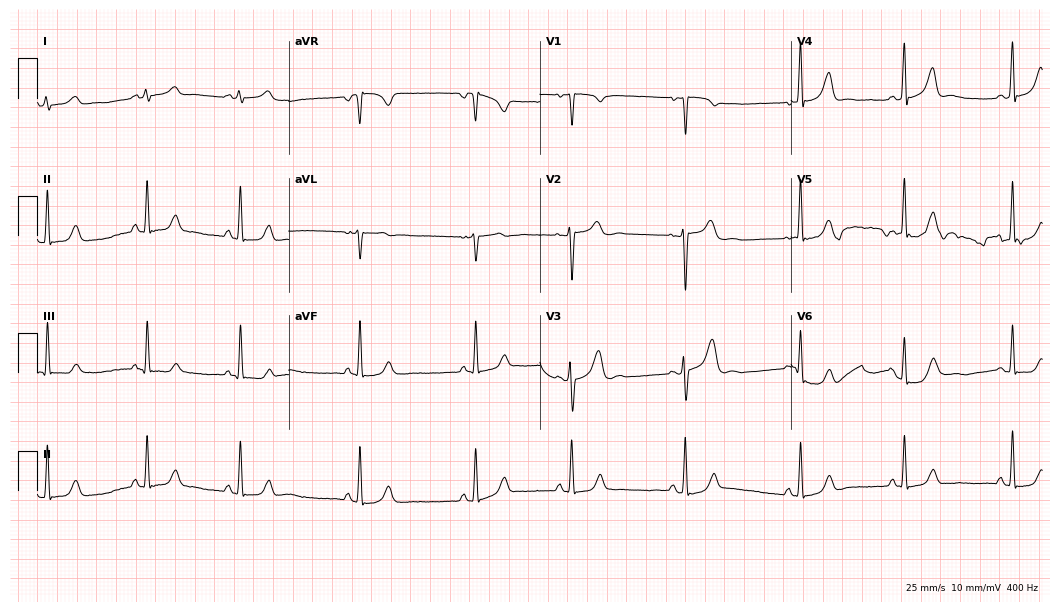
Electrocardiogram, a 20-year-old female patient. Of the six screened findings (first-degree AV block, right bundle branch block (RBBB), left bundle branch block (LBBB), sinus bradycardia, atrial fibrillation (AF), sinus tachycardia), none is recorded. Only these six findings were labelled.